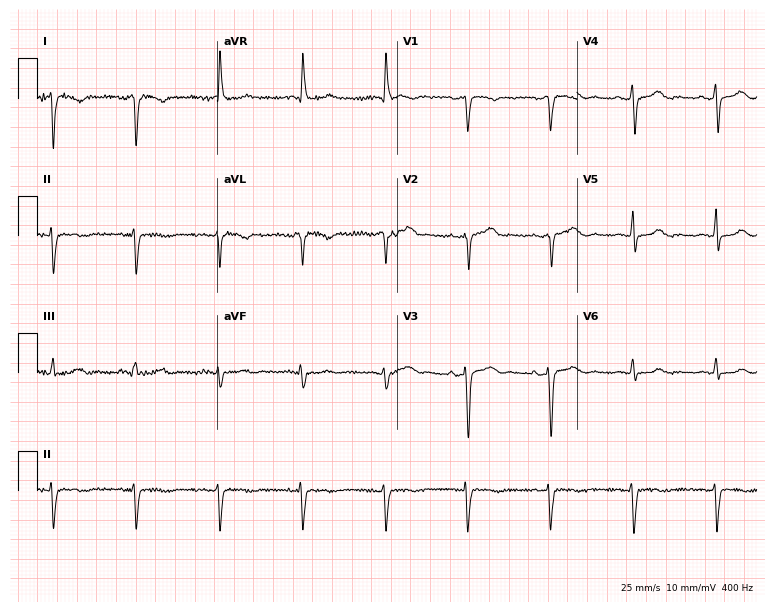
Resting 12-lead electrocardiogram. Patient: a woman, 67 years old. None of these six findings is recorded: first-degree AV block, right bundle branch block, left bundle branch block, sinus bradycardia, atrial fibrillation, sinus tachycardia. Only these six findings were labelled.